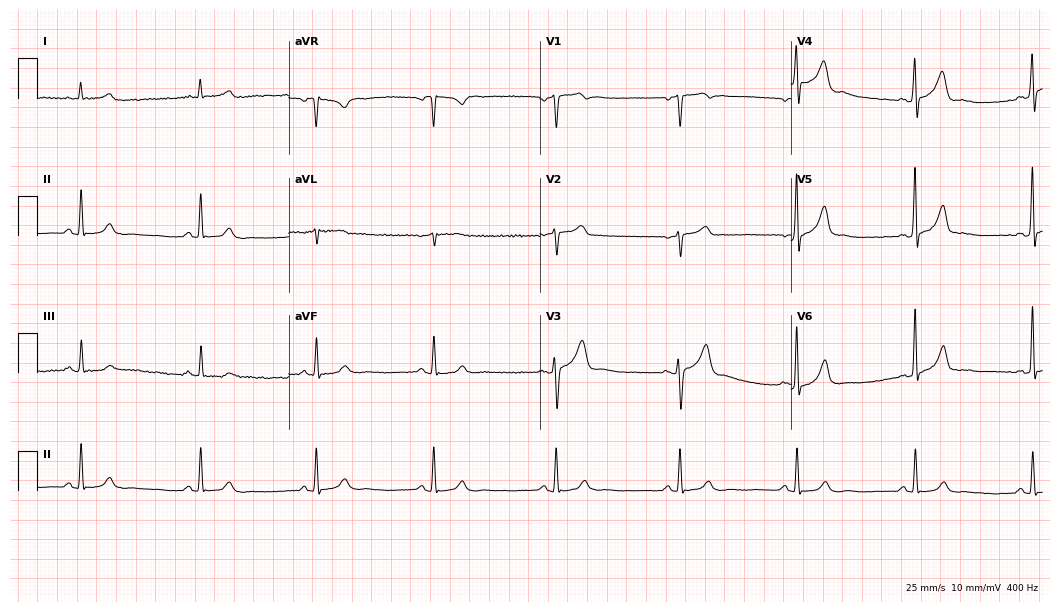
ECG — a 64-year-old man. Labelled as a normal ECG.